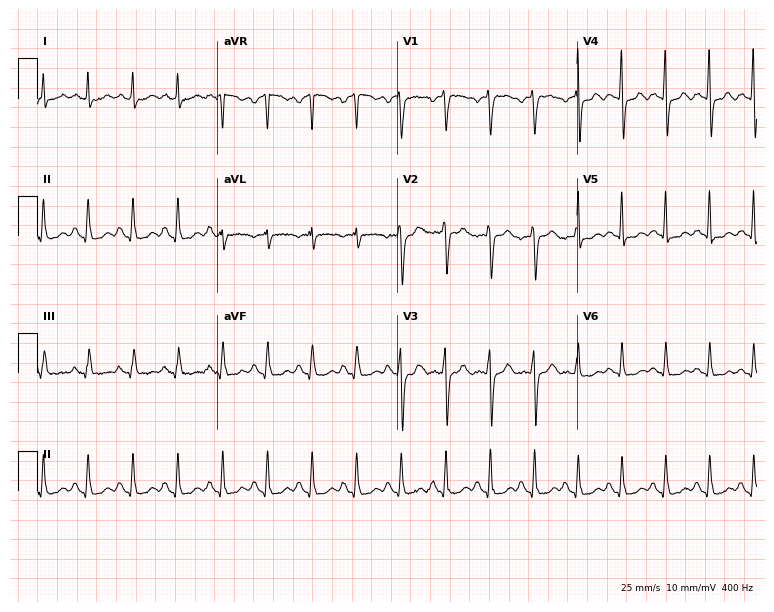
ECG (7.3-second recording at 400 Hz) — a 51-year-old female patient. Findings include sinus tachycardia (a sinus rate of 100 beats per minute or more).